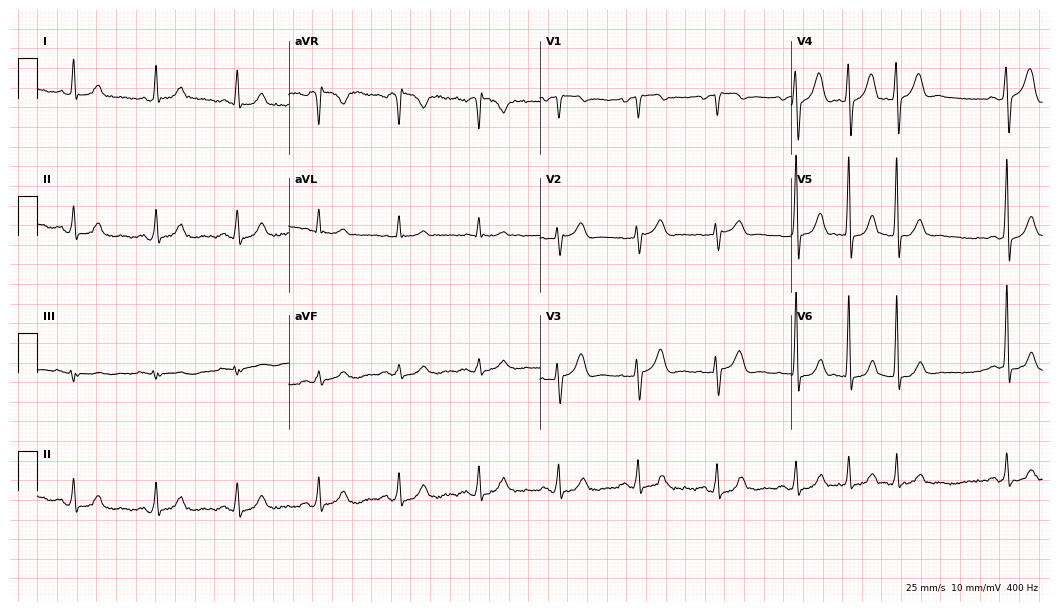
Electrocardiogram, a male patient, 65 years old. Overall reading on record: normal ECG.